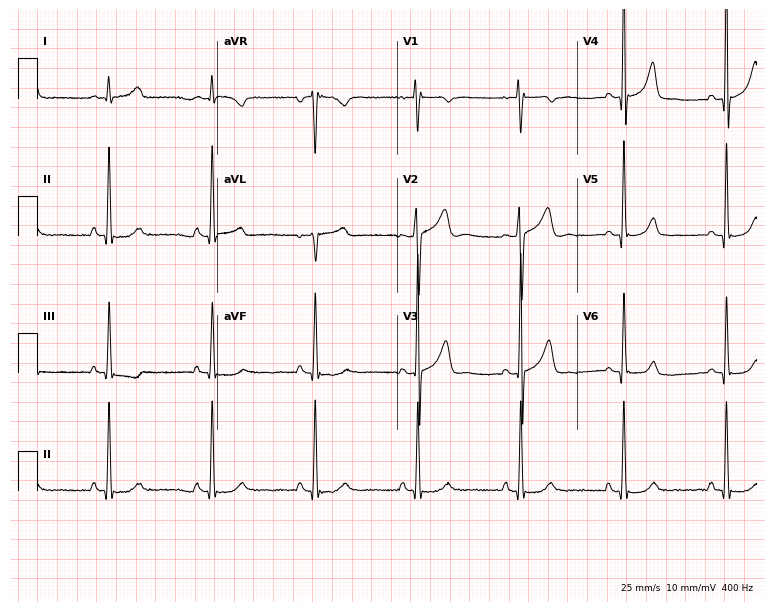
Electrocardiogram, a 22-year-old male. Of the six screened findings (first-degree AV block, right bundle branch block, left bundle branch block, sinus bradycardia, atrial fibrillation, sinus tachycardia), none is recorded. Findings outside these six are not listed.